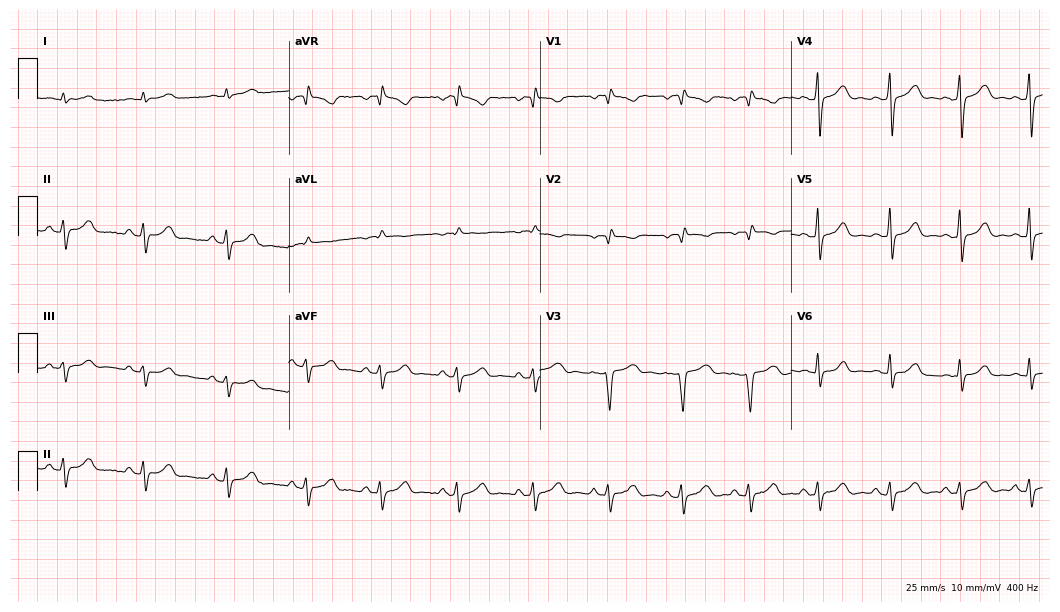
Electrocardiogram (10.2-second recording at 400 Hz), a 33-year-old female. Of the six screened findings (first-degree AV block, right bundle branch block, left bundle branch block, sinus bradycardia, atrial fibrillation, sinus tachycardia), none is recorded.